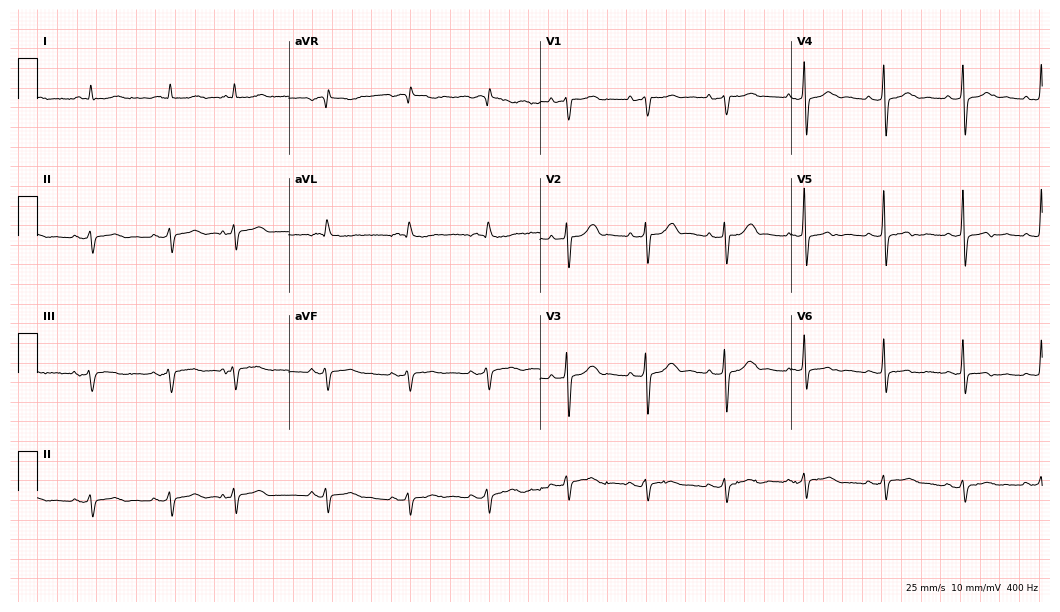
Resting 12-lead electrocardiogram (10.2-second recording at 400 Hz). Patient: an 84-year-old male. None of these six findings is recorded: first-degree AV block, right bundle branch block, left bundle branch block, sinus bradycardia, atrial fibrillation, sinus tachycardia. Only these six findings were labelled.